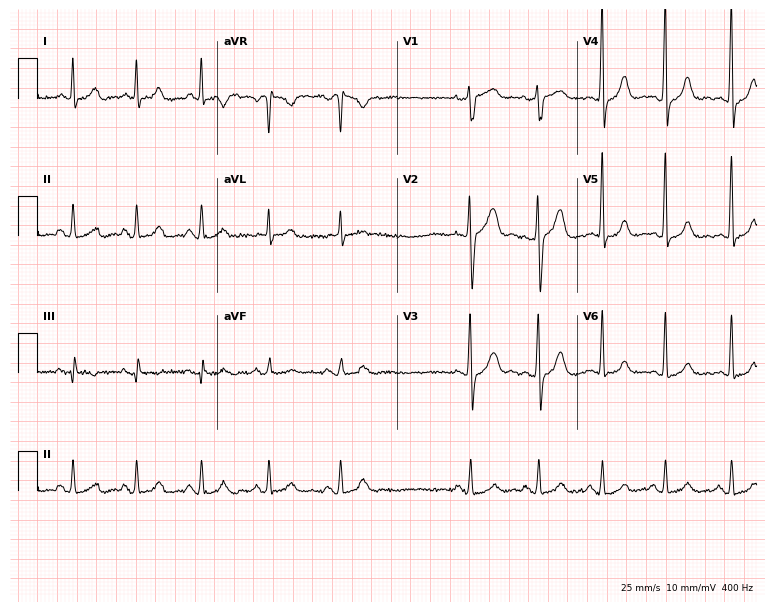
Electrocardiogram (7.3-second recording at 400 Hz), a man, 57 years old. Of the six screened findings (first-degree AV block, right bundle branch block (RBBB), left bundle branch block (LBBB), sinus bradycardia, atrial fibrillation (AF), sinus tachycardia), none is recorded. Only these six findings were labelled.